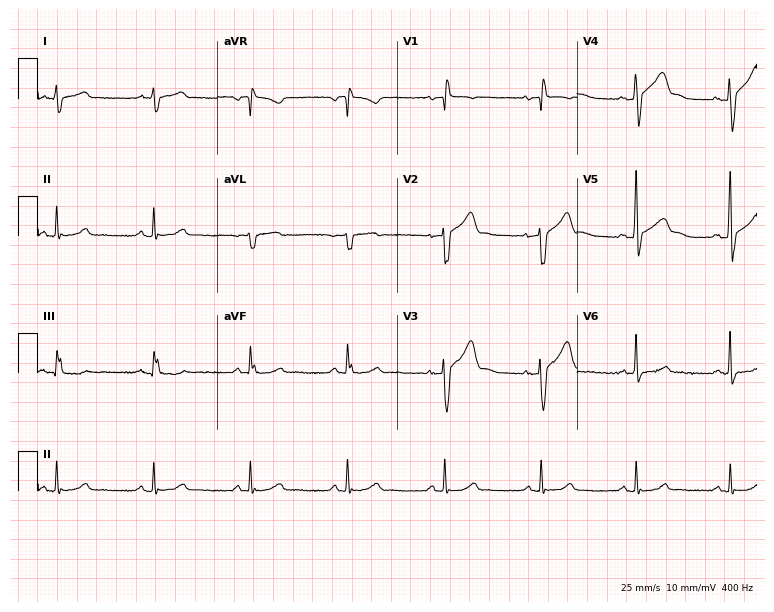
Standard 12-lead ECG recorded from a 53-year-old male patient. None of these six findings is recorded: first-degree AV block, right bundle branch block, left bundle branch block, sinus bradycardia, atrial fibrillation, sinus tachycardia.